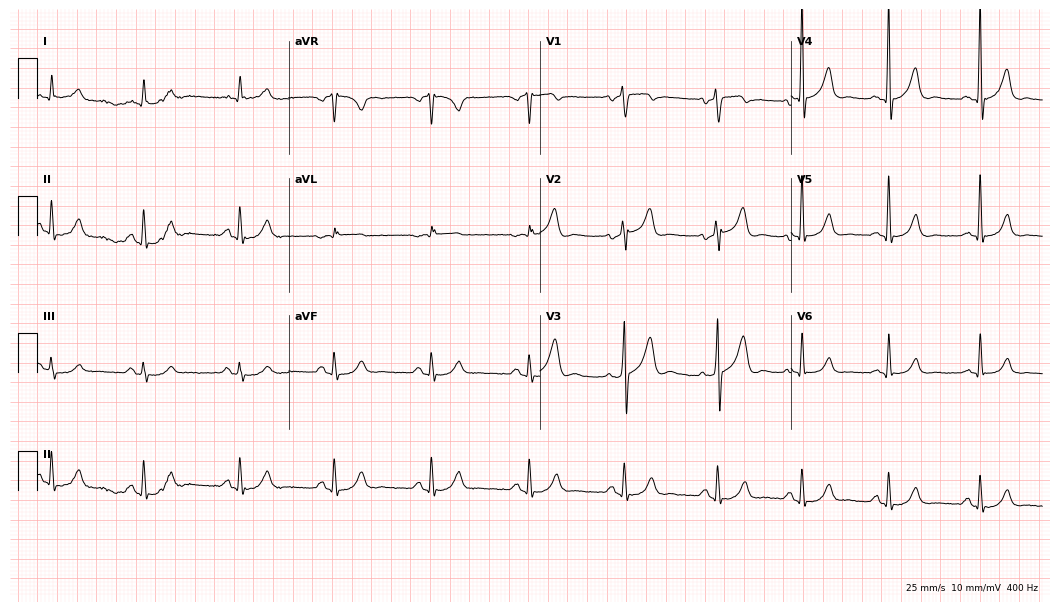
12-lead ECG from a 61-year-old man (10.2-second recording at 400 Hz). No first-degree AV block, right bundle branch block, left bundle branch block, sinus bradycardia, atrial fibrillation or sinus tachycardia recorded for this tracing.